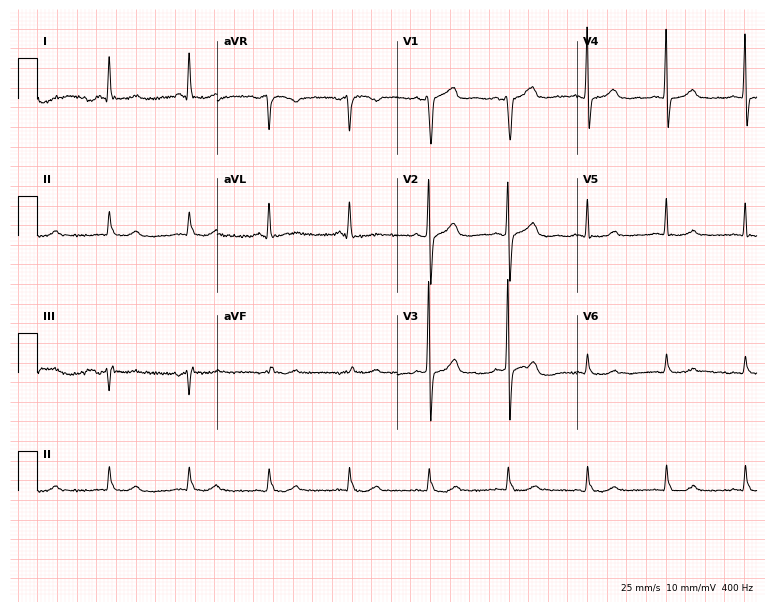
12-lead ECG from a male patient, 61 years old. No first-degree AV block, right bundle branch block, left bundle branch block, sinus bradycardia, atrial fibrillation or sinus tachycardia recorded for this tracing.